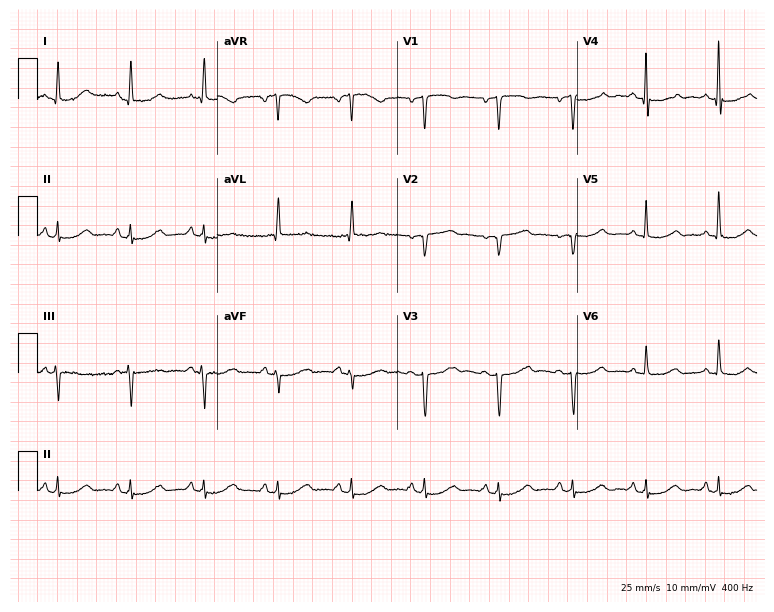
Standard 12-lead ECG recorded from a woman, 71 years old (7.3-second recording at 400 Hz). None of these six findings is recorded: first-degree AV block, right bundle branch block (RBBB), left bundle branch block (LBBB), sinus bradycardia, atrial fibrillation (AF), sinus tachycardia.